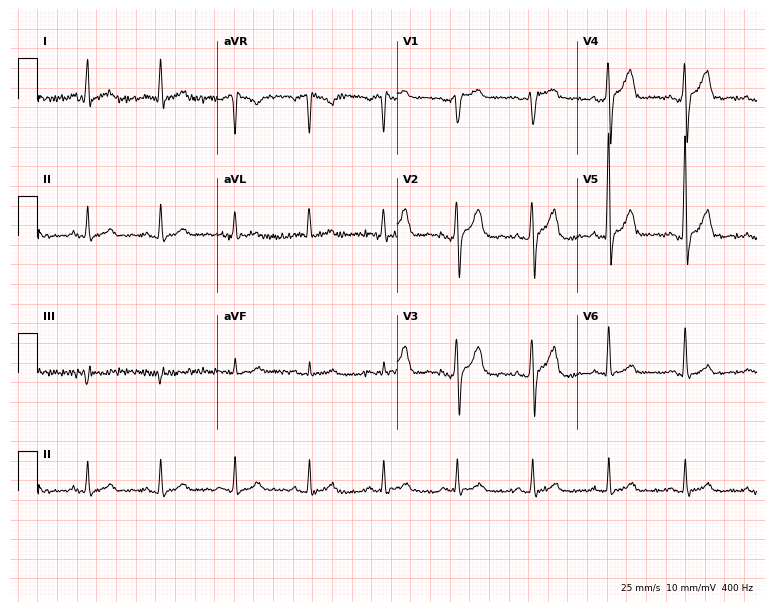
Standard 12-lead ECG recorded from a 54-year-old male patient. None of these six findings is recorded: first-degree AV block, right bundle branch block, left bundle branch block, sinus bradycardia, atrial fibrillation, sinus tachycardia.